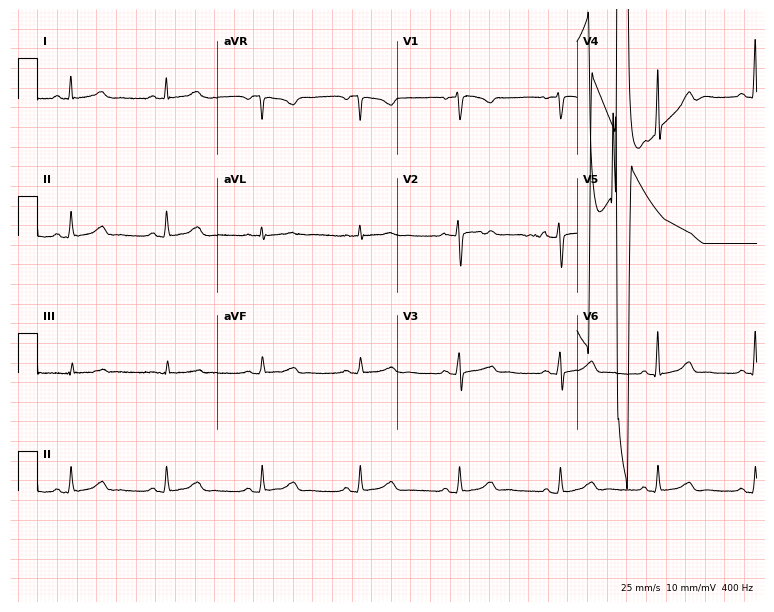
ECG — a 59-year-old woman. Labelled as a normal ECG.